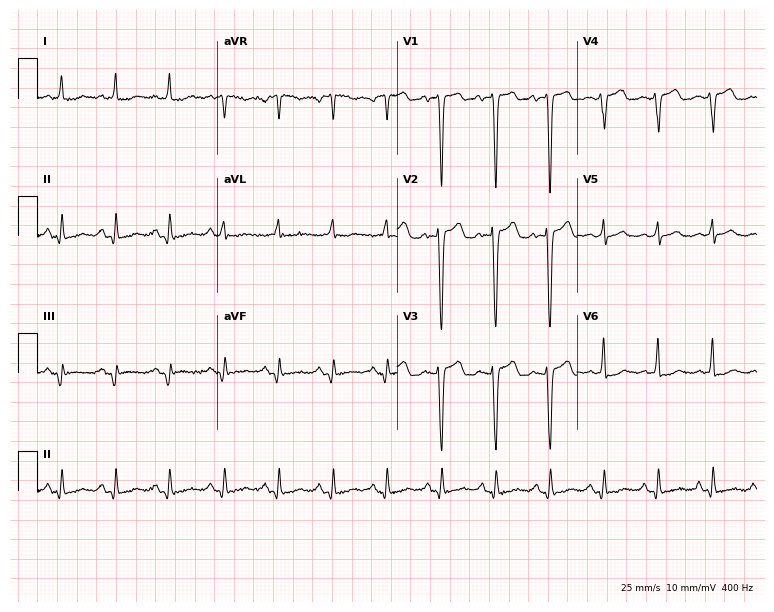
Standard 12-lead ECG recorded from a 68-year-old female patient (7.3-second recording at 400 Hz). The tracing shows sinus tachycardia (a sinus rate of 100 beats per minute or more).